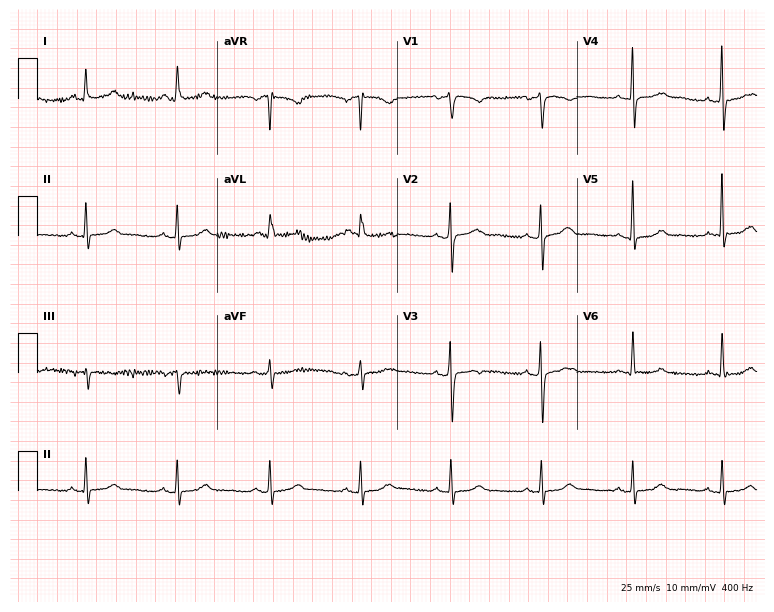
Resting 12-lead electrocardiogram. Patient: a 73-year-old female. None of these six findings is recorded: first-degree AV block, right bundle branch block, left bundle branch block, sinus bradycardia, atrial fibrillation, sinus tachycardia.